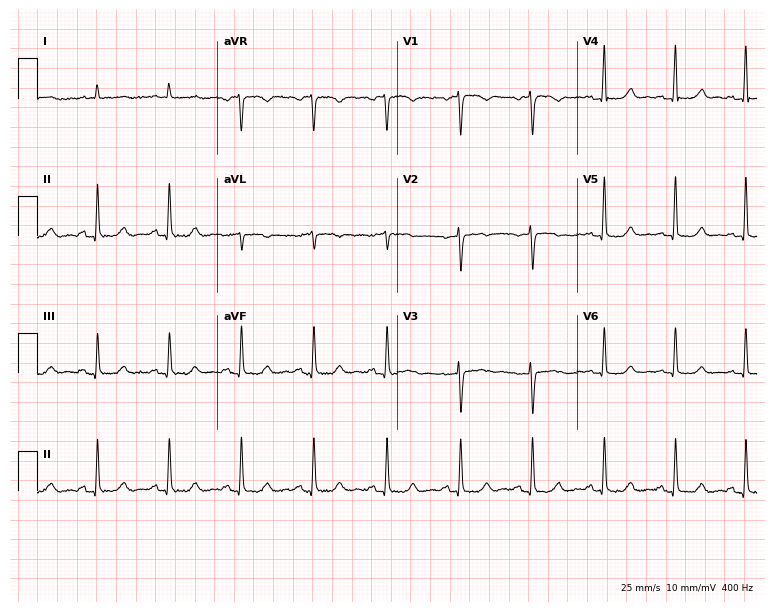
12-lead ECG from a 54-year-old female patient. Recorded interpretation: within normal limits.